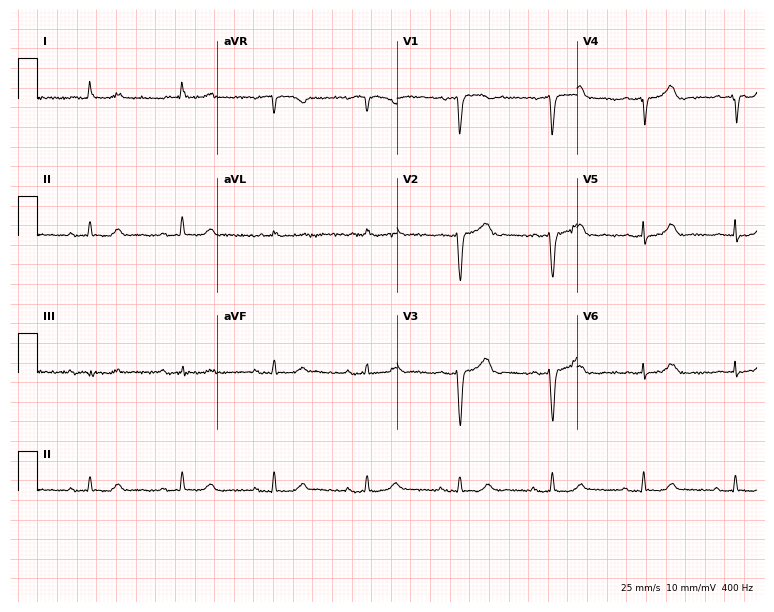
Electrocardiogram, a 77-year-old man. Of the six screened findings (first-degree AV block, right bundle branch block, left bundle branch block, sinus bradycardia, atrial fibrillation, sinus tachycardia), none is recorded.